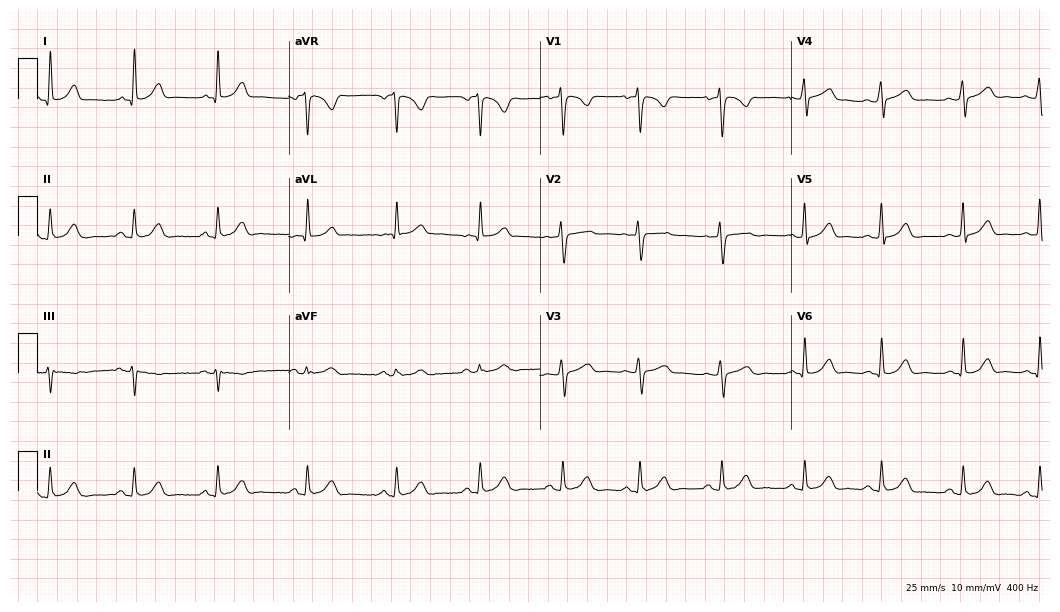
Standard 12-lead ECG recorded from a female, 26 years old (10.2-second recording at 400 Hz). Read as a normal ECG.